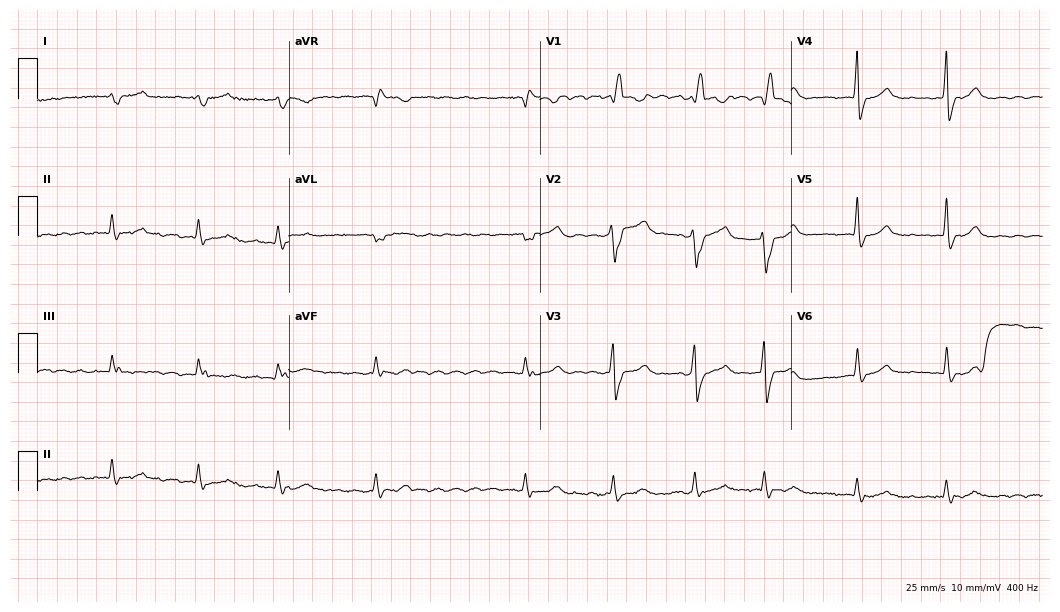
12-lead ECG from an 84-year-old male (10.2-second recording at 400 Hz). No first-degree AV block, right bundle branch block, left bundle branch block, sinus bradycardia, atrial fibrillation or sinus tachycardia recorded for this tracing.